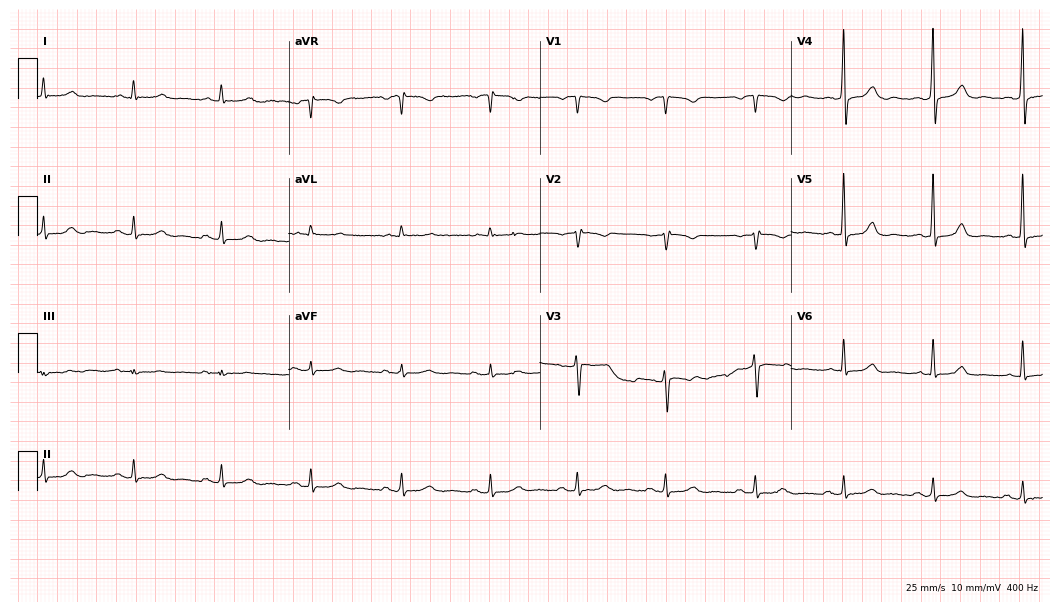
Electrocardiogram (10.2-second recording at 400 Hz), a 61-year-old woman. Of the six screened findings (first-degree AV block, right bundle branch block, left bundle branch block, sinus bradycardia, atrial fibrillation, sinus tachycardia), none is recorded. Only these six findings were labelled.